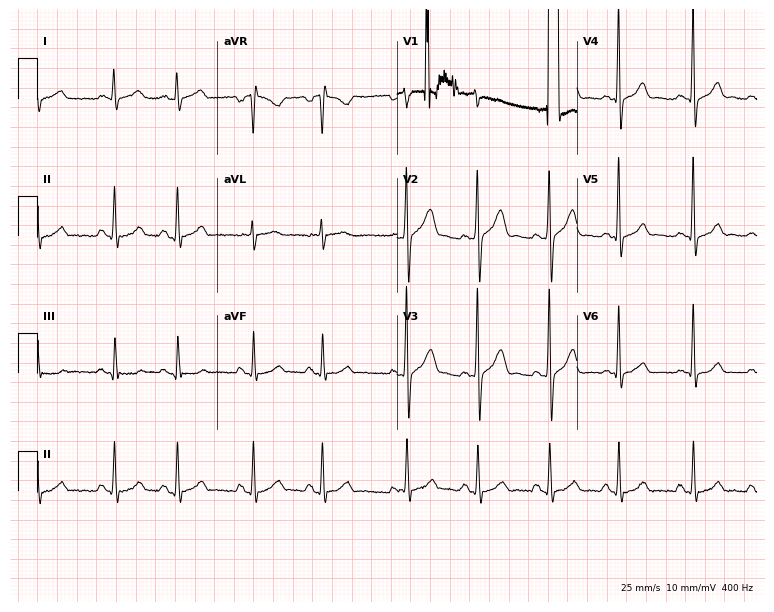
Resting 12-lead electrocardiogram (7.3-second recording at 400 Hz). Patient: a 49-year-old male. None of these six findings is recorded: first-degree AV block, right bundle branch block, left bundle branch block, sinus bradycardia, atrial fibrillation, sinus tachycardia.